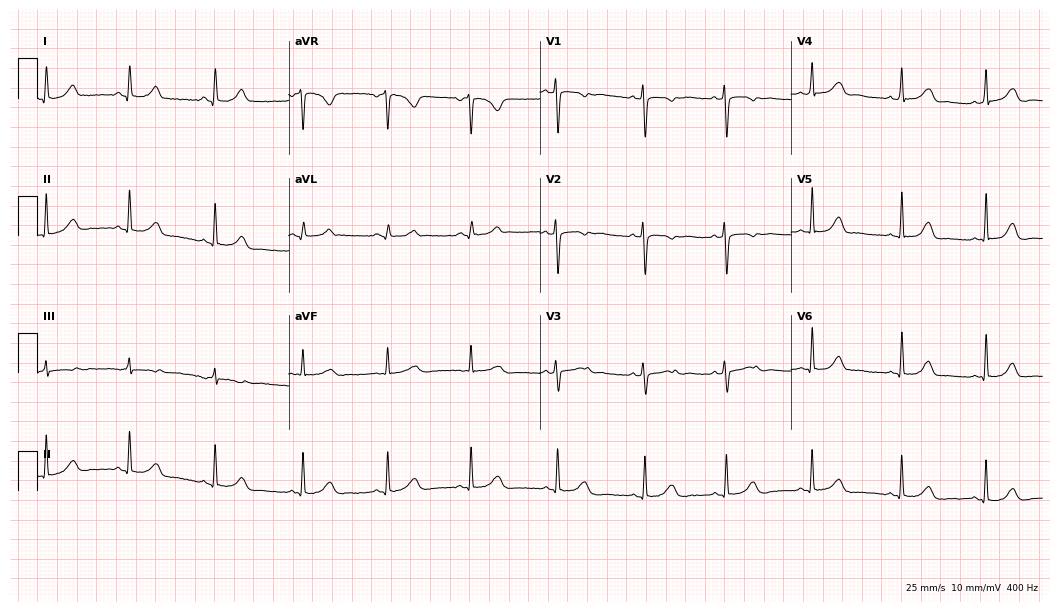
ECG (10.2-second recording at 400 Hz) — a 22-year-old woman. Labelled as a normal ECG.